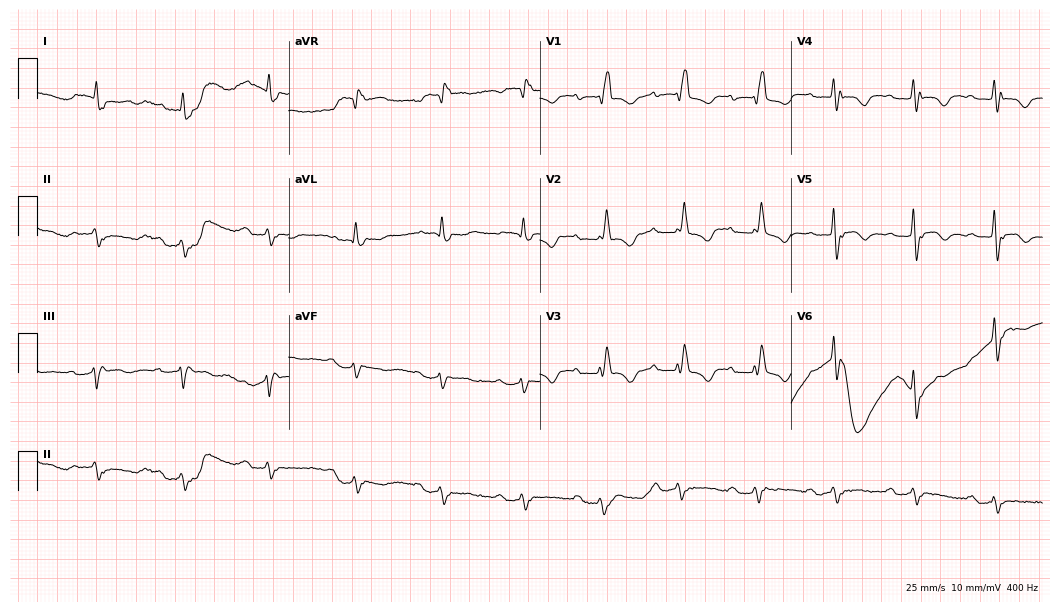
12-lead ECG from a female patient, 83 years old. No first-degree AV block, right bundle branch block, left bundle branch block, sinus bradycardia, atrial fibrillation or sinus tachycardia recorded for this tracing. Only these six findings were labelled.